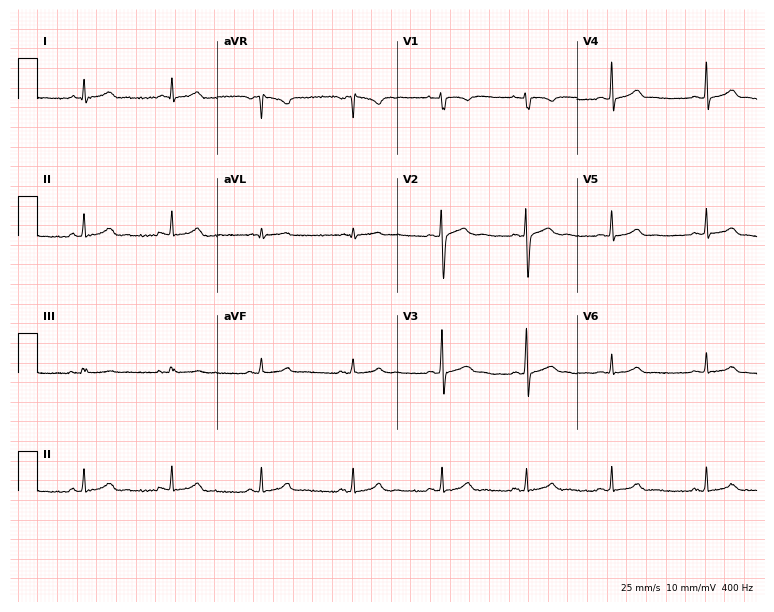
Resting 12-lead electrocardiogram (7.3-second recording at 400 Hz). Patient: a woman, 22 years old. Read as a normal ECG.